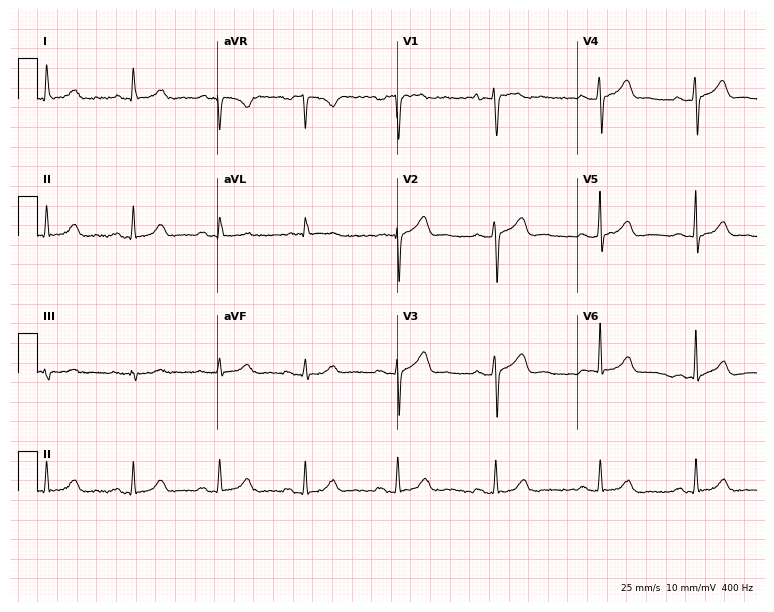
Standard 12-lead ECG recorded from a 38-year-old female patient. None of these six findings is recorded: first-degree AV block, right bundle branch block, left bundle branch block, sinus bradycardia, atrial fibrillation, sinus tachycardia.